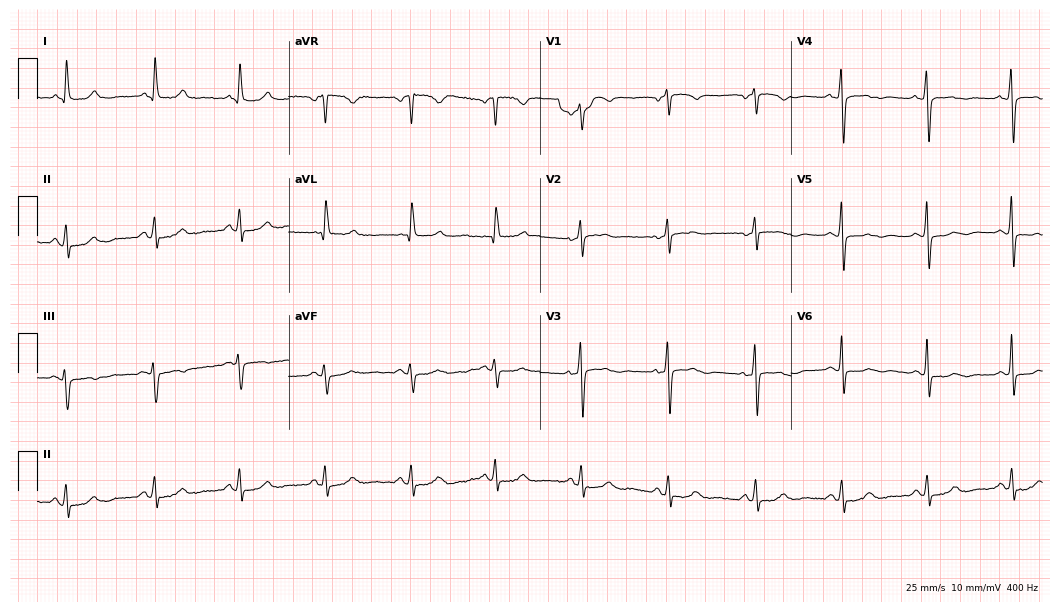
ECG (10.2-second recording at 400 Hz) — a woman, 71 years old. Screened for six findings — first-degree AV block, right bundle branch block, left bundle branch block, sinus bradycardia, atrial fibrillation, sinus tachycardia — none is recorded. Other findings, if any, are not listed.